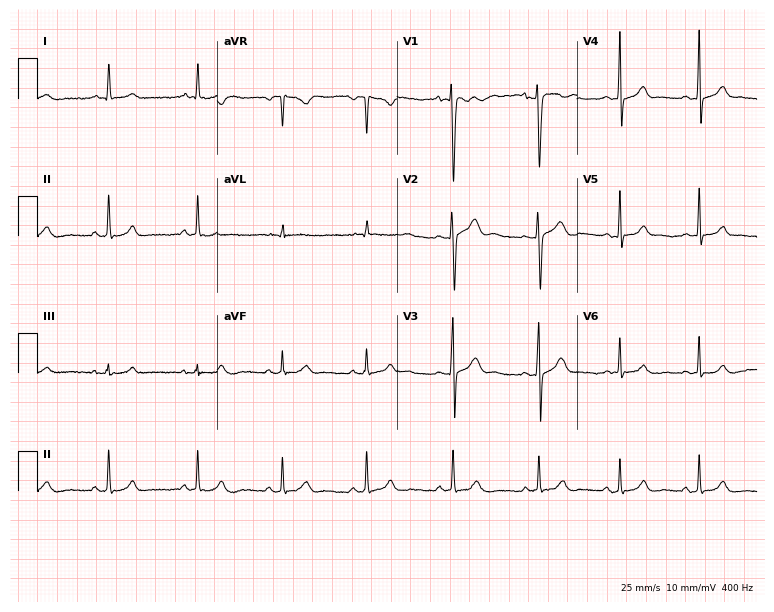
12-lead ECG from an 18-year-old male. No first-degree AV block, right bundle branch block, left bundle branch block, sinus bradycardia, atrial fibrillation or sinus tachycardia recorded for this tracing.